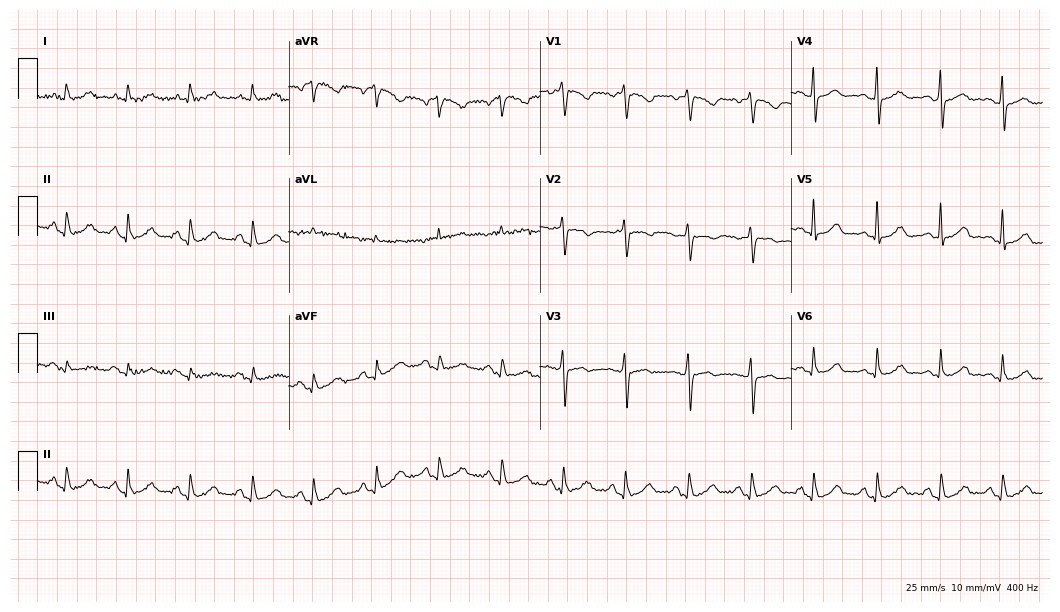
Standard 12-lead ECG recorded from a 69-year-old female patient. Read as a normal ECG.